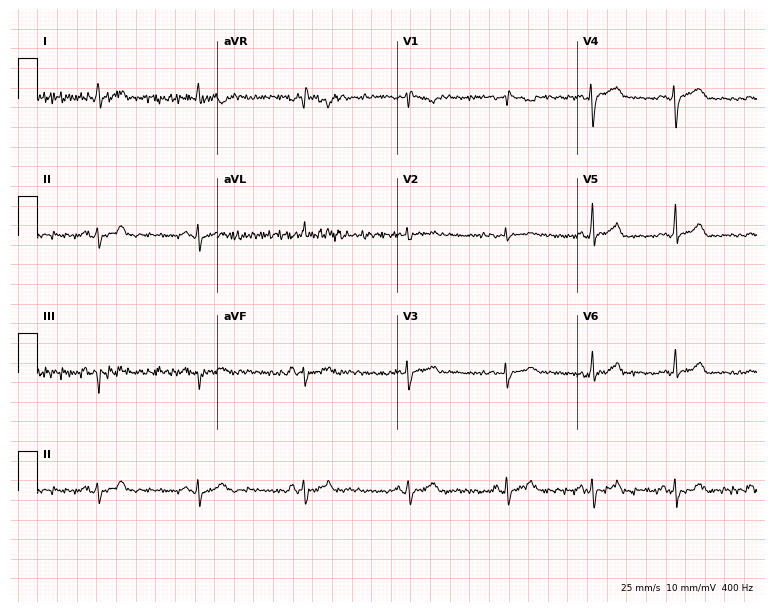
Standard 12-lead ECG recorded from a female, 21 years old. None of these six findings is recorded: first-degree AV block, right bundle branch block (RBBB), left bundle branch block (LBBB), sinus bradycardia, atrial fibrillation (AF), sinus tachycardia.